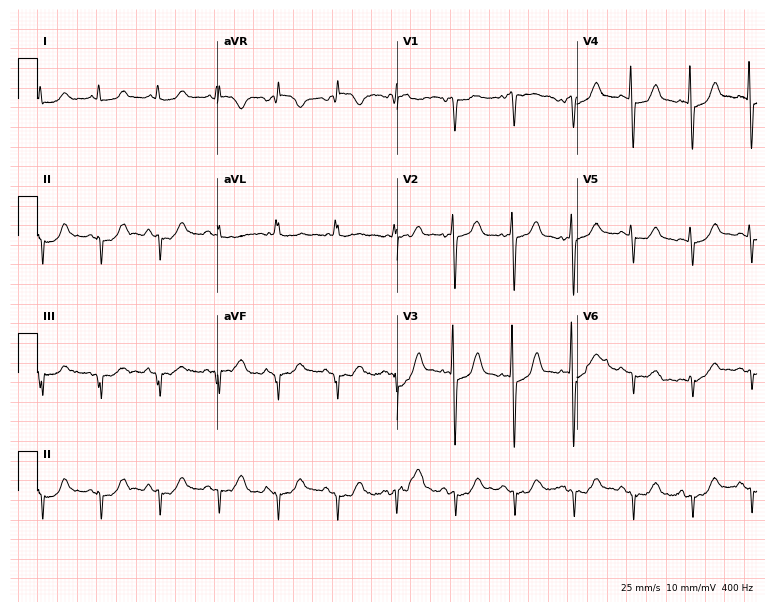
Standard 12-lead ECG recorded from a female patient, 77 years old. None of these six findings is recorded: first-degree AV block, right bundle branch block (RBBB), left bundle branch block (LBBB), sinus bradycardia, atrial fibrillation (AF), sinus tachycardia. Findings outside these six are not listed.